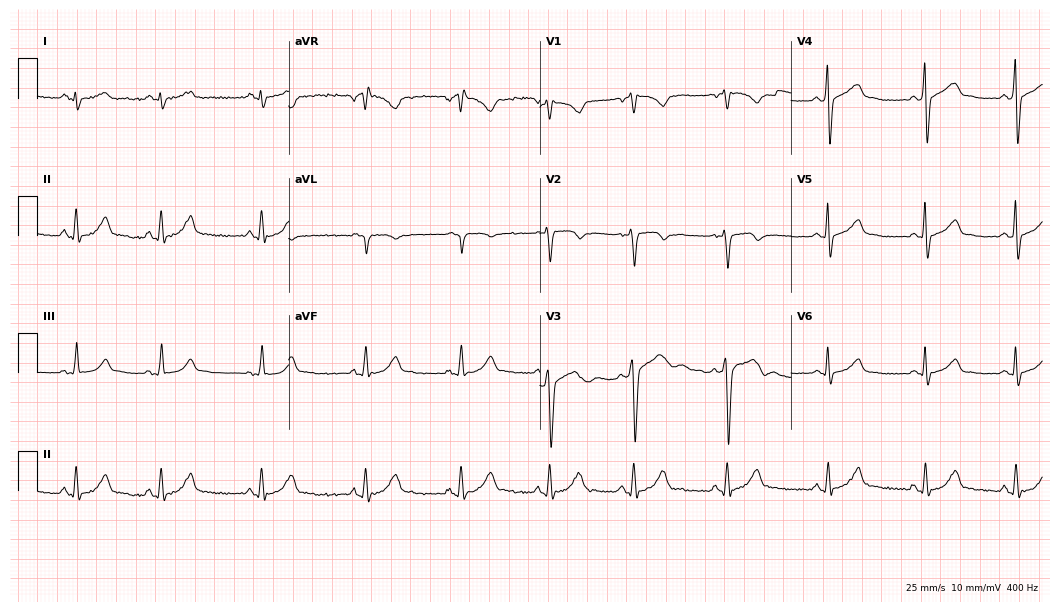
12-lead ECG from a male, 30 years old. Screened for six findings — first-degree AV block, right bundle branch block, left bundle branch block, sinus bradycardia, atrial fibrillation, sinus tachycardia — none is recorded.